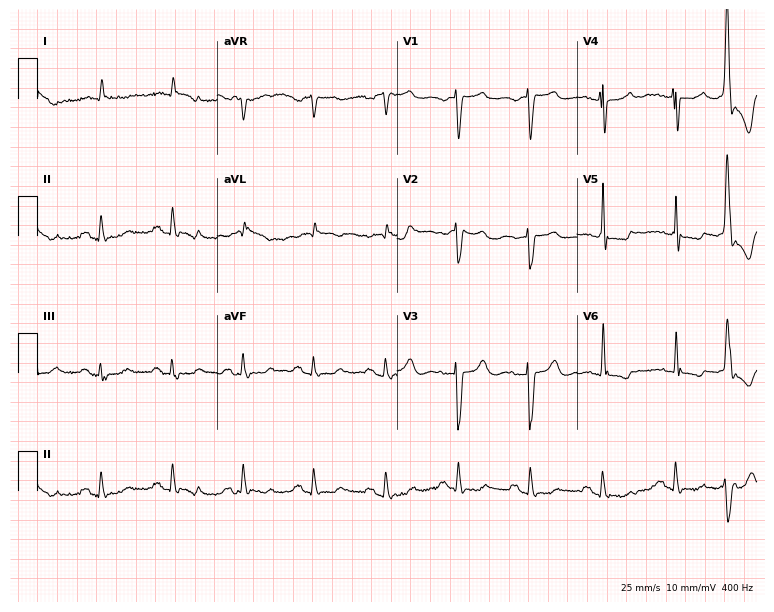
Standard 12-lead ECG recorded from an 83-year-old male patient. None of these six findings is recorded: first-degree AV block, right bundle branch block (RBBB), left bundle branch block (LBBB), sinus bradycardia, atrial fibrillation (AF), sinus tachycardia. Findings outside these six are not listed.